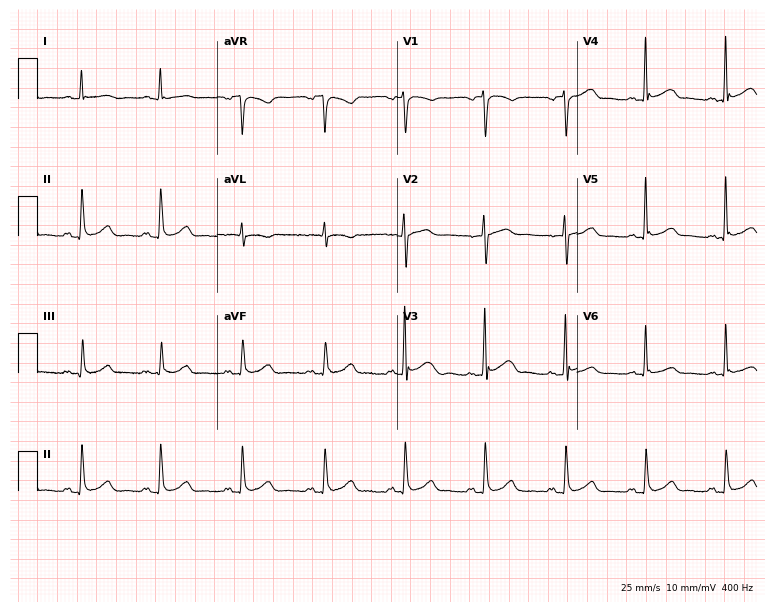
12-lead ECG from a female patient, 70 years old (7.3-second recording at 400 Hz). No first-degree AV block, right bundle branch block (RBBB), left bundle branch block (LBBB), sinus bradycardia, atrial fibrillation (AF) or sinus tachycardia recorded for this tracing. Other findings, if any, are not listed.